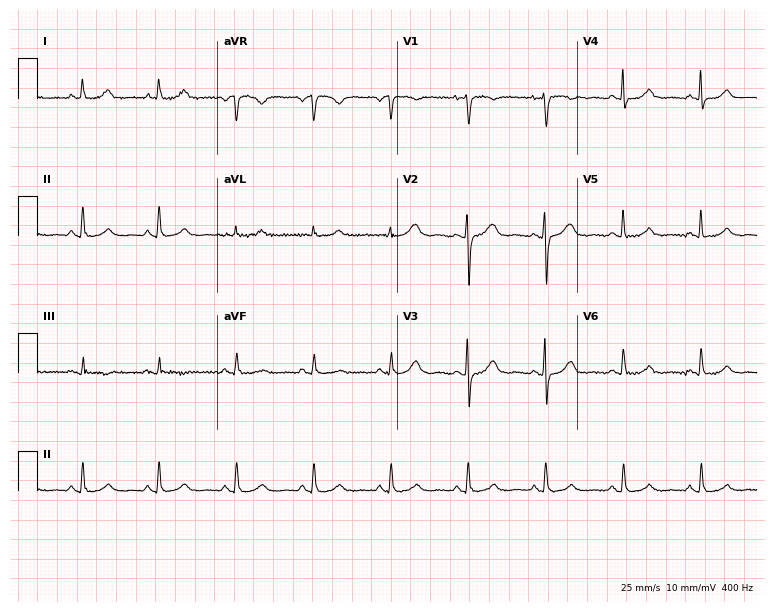
Electrocardiogram (7.3-second recording at 400 Hz), a 51-year-old female. Overall reading on record: normal ECG.